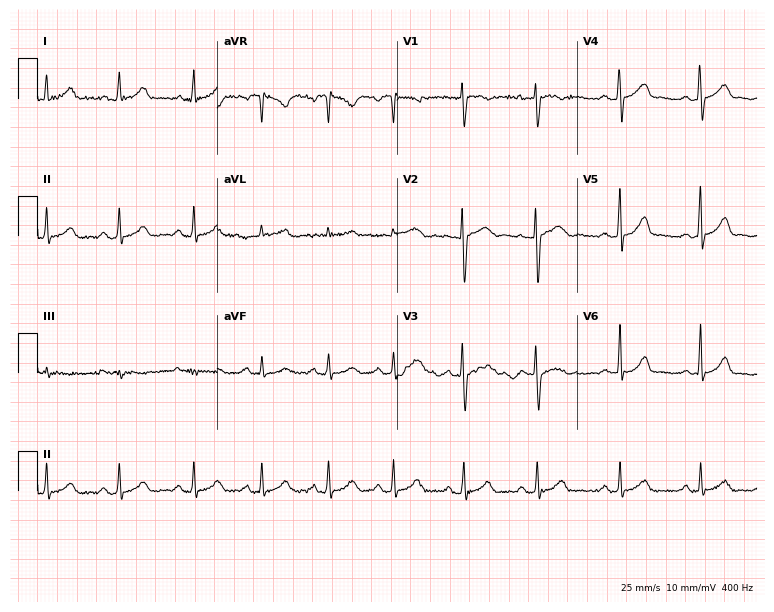
12-lead ECG from a woman, 35 years old (7.3-second recording at 400 Hz). No first-degree AV block, right bundle branch block, left bundle branch block, sinus bradycardia, atrial fibrillation or sinus tachycardia recorded for this tracing. Findings outside these six are not listed.